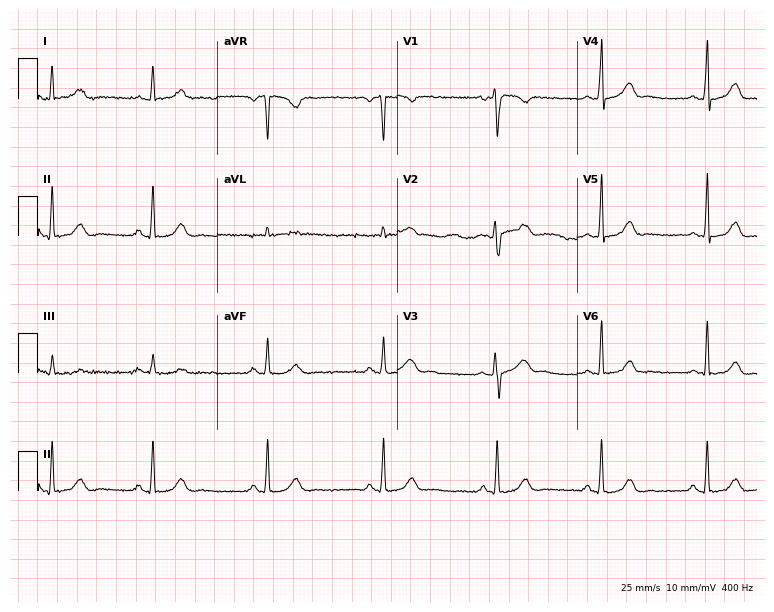
Resting 12-lead electrocardiogram (7.3-second recording at 400 Hz). Patient: a 29-year-old female. None of these six findings is recorded: first-degree AV block, right bundle branch block (RBBB), left bundle branch block (LBBB), sinus bradycardia, atrial fibrillation (AF), sinus tachycardia.